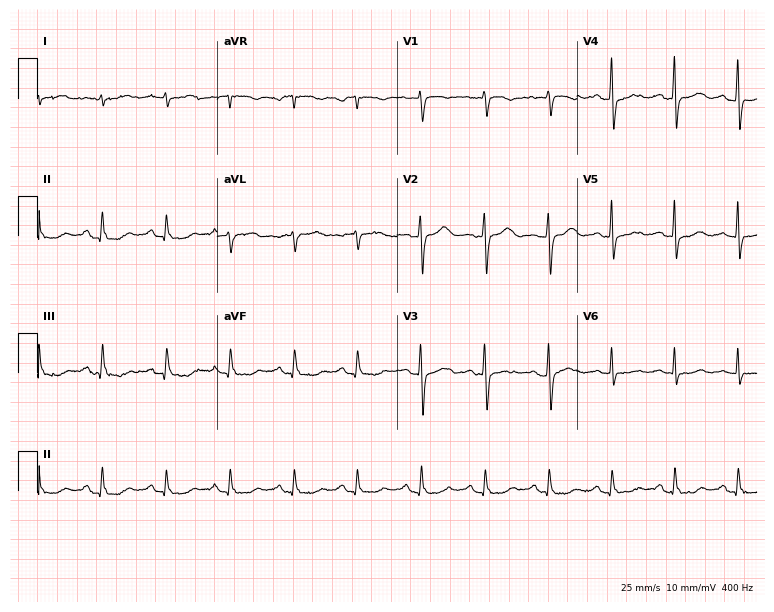
Electrocardiogram (7.3-second recording at 400 Hz), a 57-year-old female. Of the six screened findings (first-degree AV block, right bundle branch block (RBBB), left bundle branch block (LBBB), sinus bradycardia, atrial fibrillation (AF), sinus tachycardia), none is recorded.